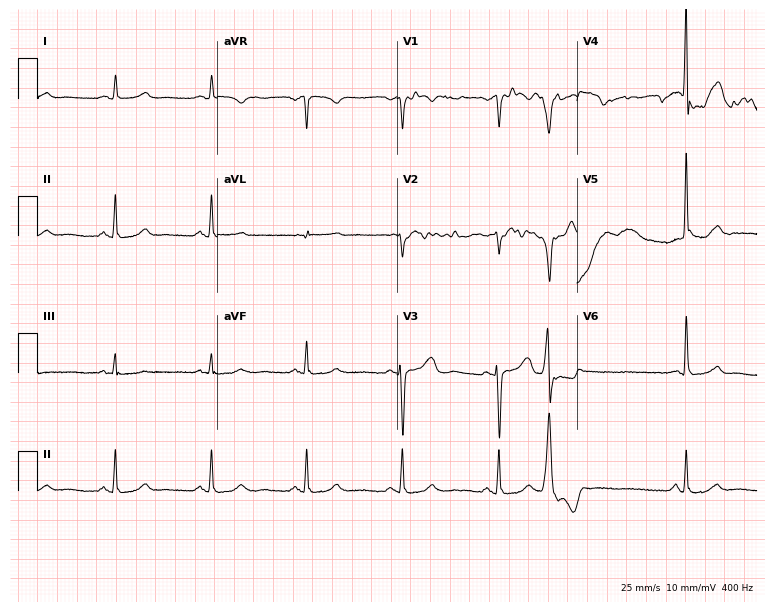
Resting 12-lead electrocardiogram. Patient: a 79-year-old male. None of these six findings is recorded: first-degree AV block, right bundle branch block, left bundle branch block, sinus bradycardia, atrial fibrillation, sinus tachycardia.